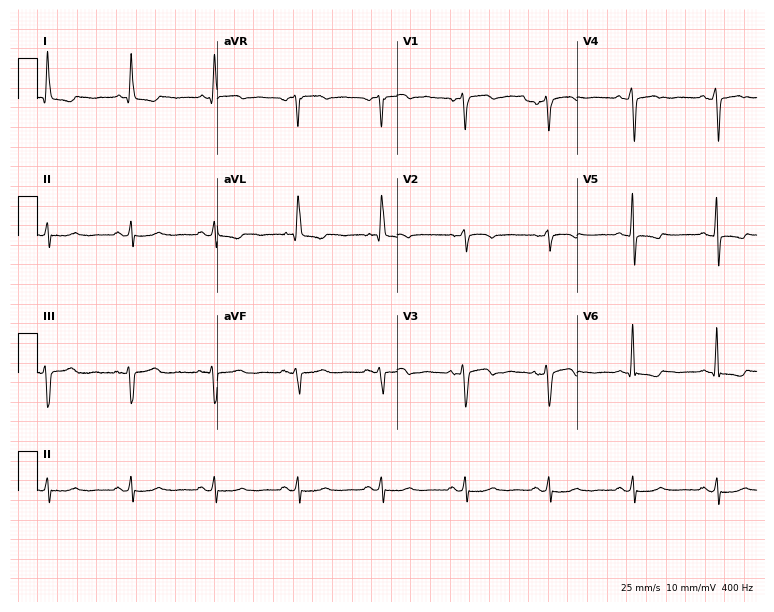
ECG — a female, 73 years old. Screened for six findings — first-degree AV block, right bundle branch block, left bundle branch block, sinus bradycardia, atrial fibrillation, sinus tachycardia — none is recorded.